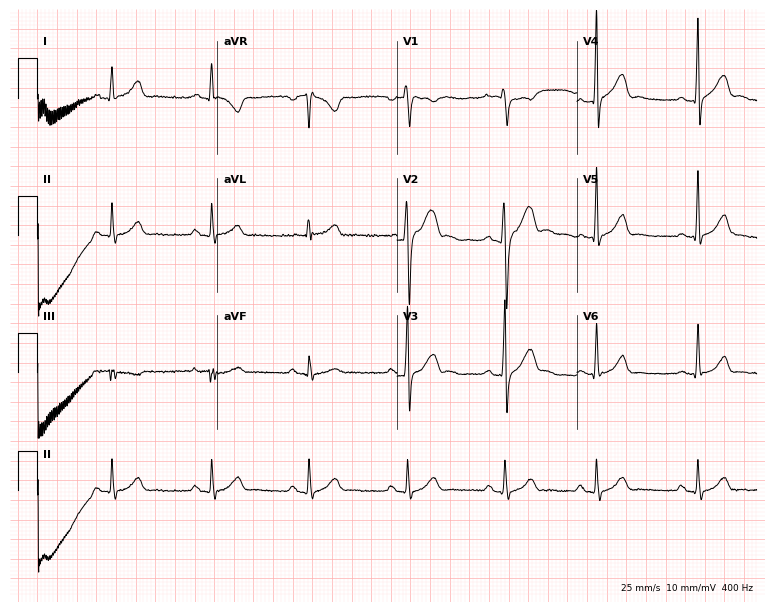
ECG — a 33-year-old man. Labelled as a normal ECG.